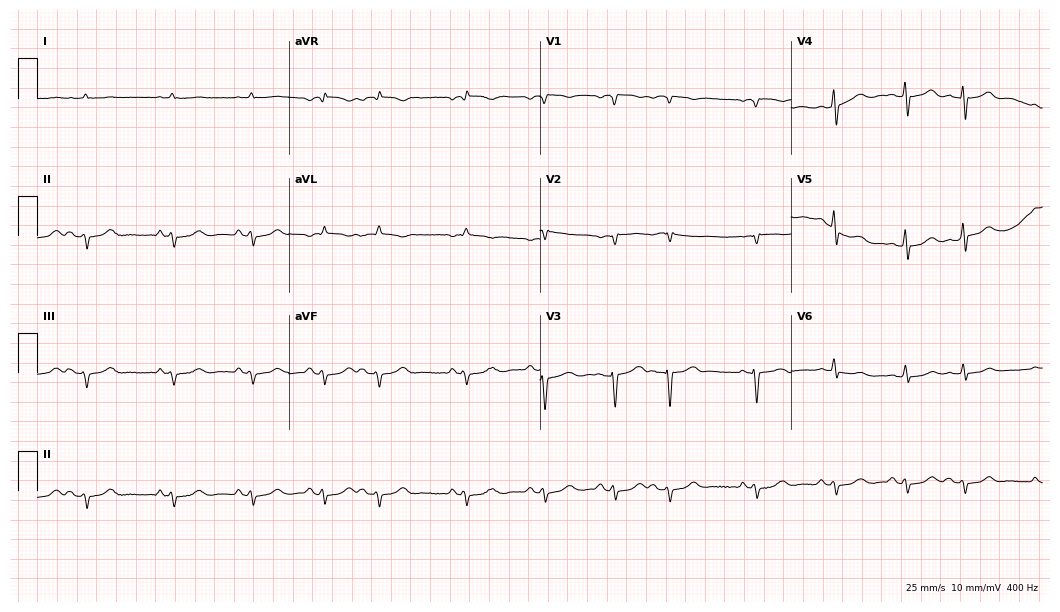
Electrocardiogram, an 81-year-old man. Of the six screened findings (first-degree AV block, right bundle branch block (RBBB), left bundle branch block (LBBB), sinus bradycardia, atrial fibrillation (AF), sinus tachycardia), none is recorded.